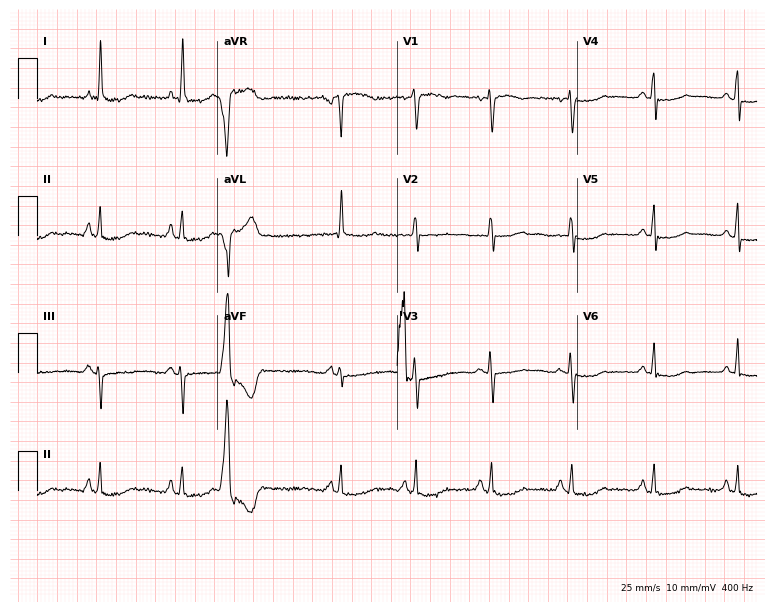
Resting 12-lead electrocardiogram. Patient: a 55-year-old female. Read as a normal ECG.